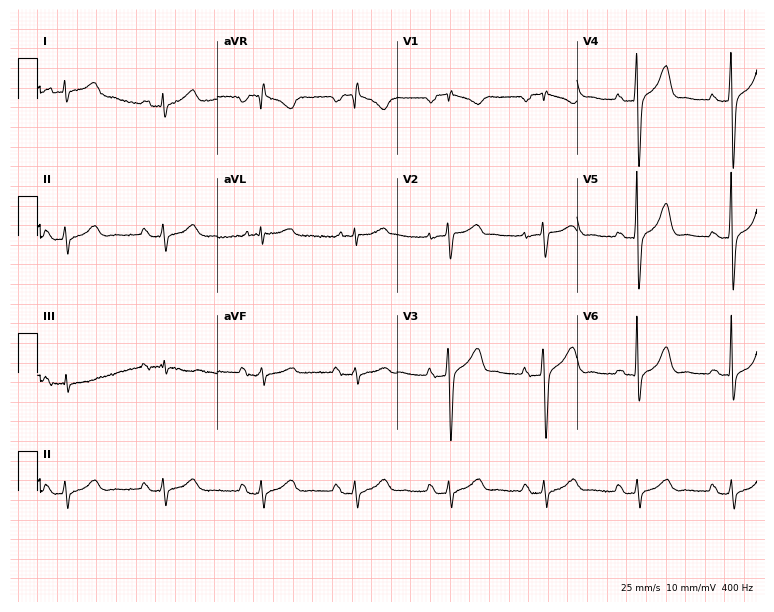
12-lead ECG (7.3-second recording at 400 Hz) from a male patient, 69 years old. Screened for six findings — first-degree AV block, right bundle branch block (RBBB), left bundle branch block (LBBB), sinus bradycardia, atrial fibrillation (AF), sinus tachycardia — none is recorded.